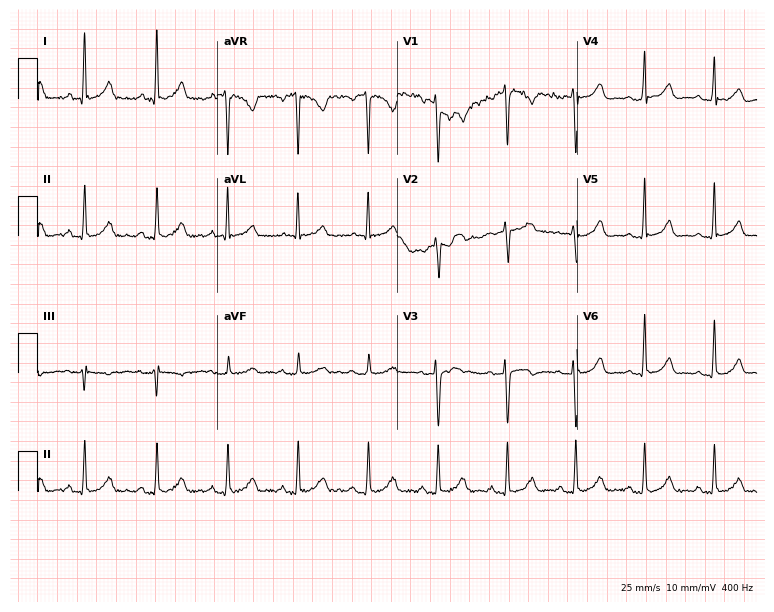
Standard 12-lead ECG recorded from a 31-year-old female patient. None of these six findings is recorded: first-degree AV block, right bundle branch block (RBBB), left bundle branch block (LBBB), sinus bradycardia, atrial fibrillation (AF), sinus tachycardia. Other findings, if any, are not listed.